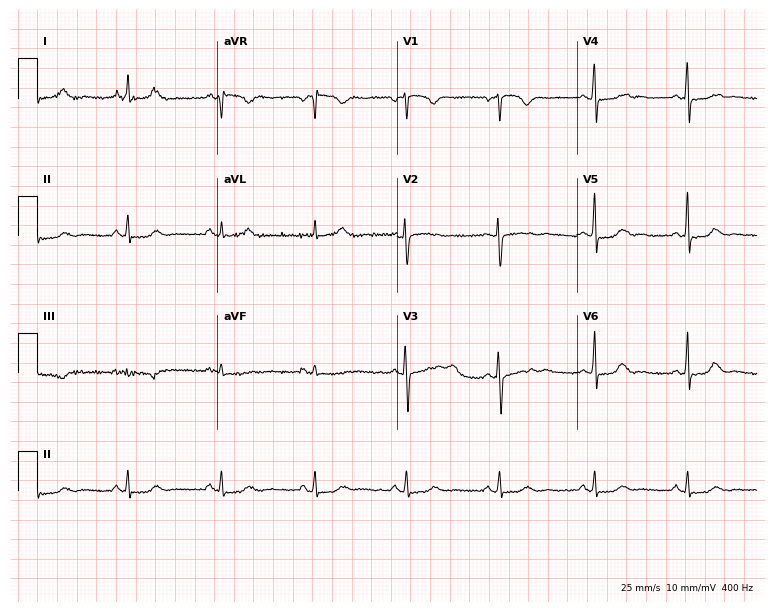
Resting 12-lead electrocardiogram (7.3-second recording at 400 Hz). Patient: a 43-year-old female. None of these six findings is recorded: first-degree AV block, right bundle branch block, left bundle branch block, sinus bradycardia, atrial fibrillation, sinus tachycardia.